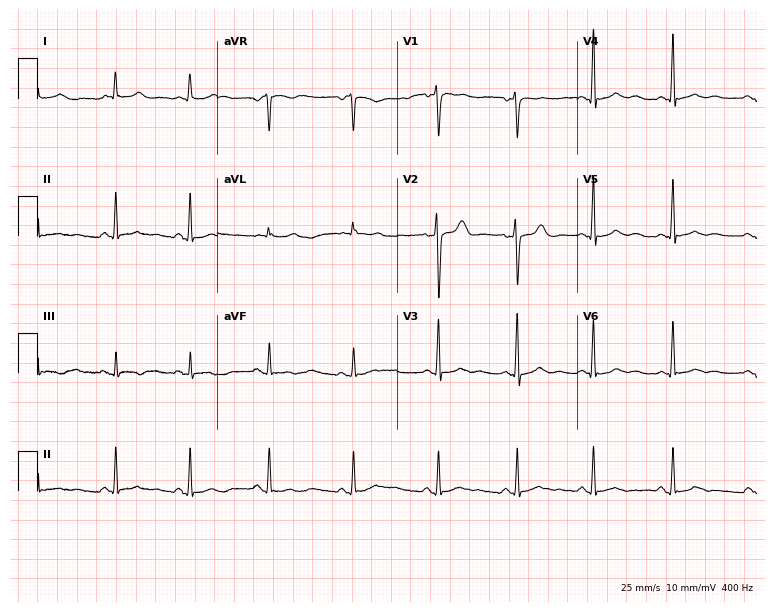
ECG — a 43-year-old female. Screened for six findings — first-degree AV block, right bundle branch block, left bundle branch block, sinus bradycardia, atrial fibrillation, sinus tachycardia — none is recorded. Only these six findings were labelled.